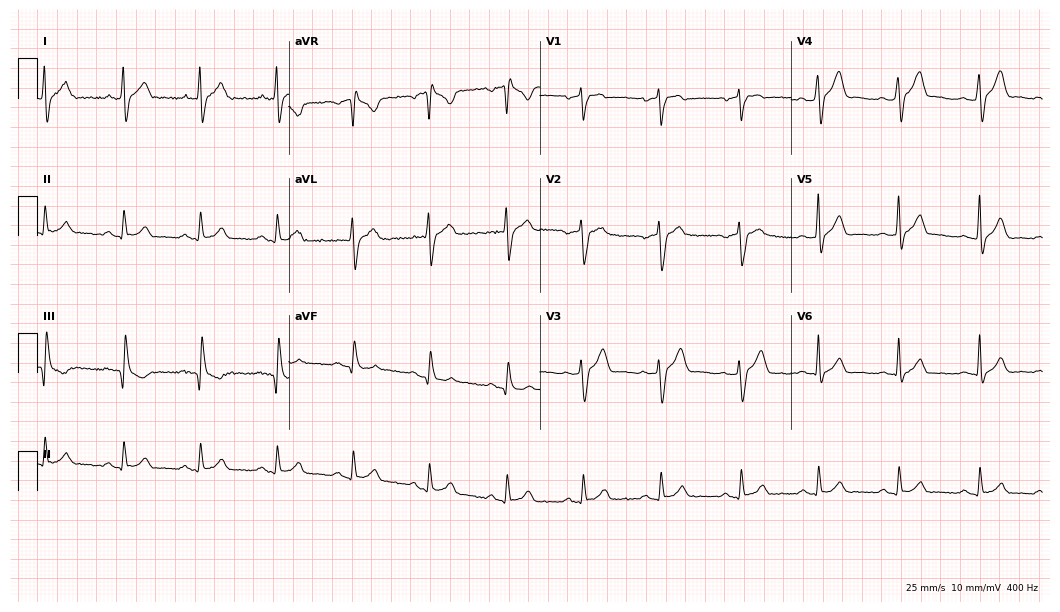
ECG (10.2-second recording at 400 Hz) — a 44-year-old man. Screened for six findings — first-degree AV block, right bundle branch block, left bundle branch block, sinus bradycardia, atrial fibrillation, sinus tachycardia — none is recorded.